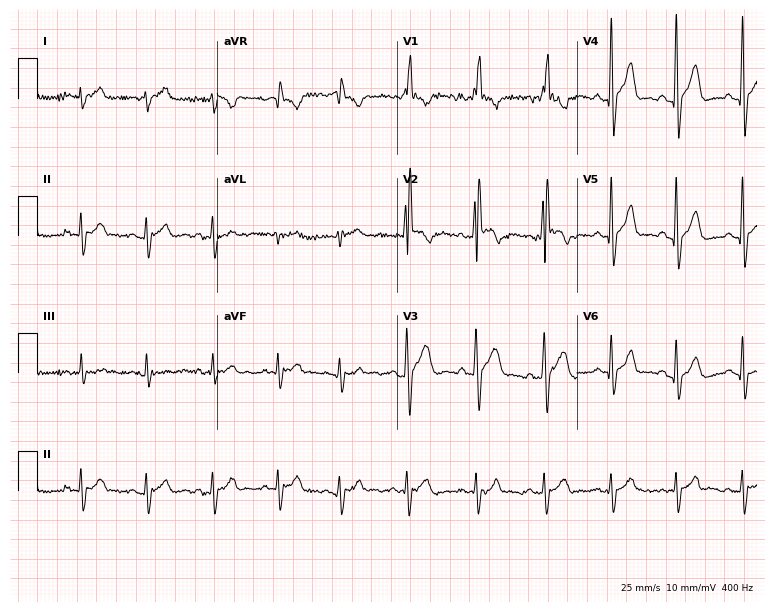
Standard 12-lead ECG recorded from a 19-year-old male (7.3-second recording at 400 Hz). None of these six findings is recorded: first-degree AV block, right bundle branch block (RBBB), left bundle branch block (LBBB), sinus bradycardia, atrial fibrillation (AF), sinus tachycardia.